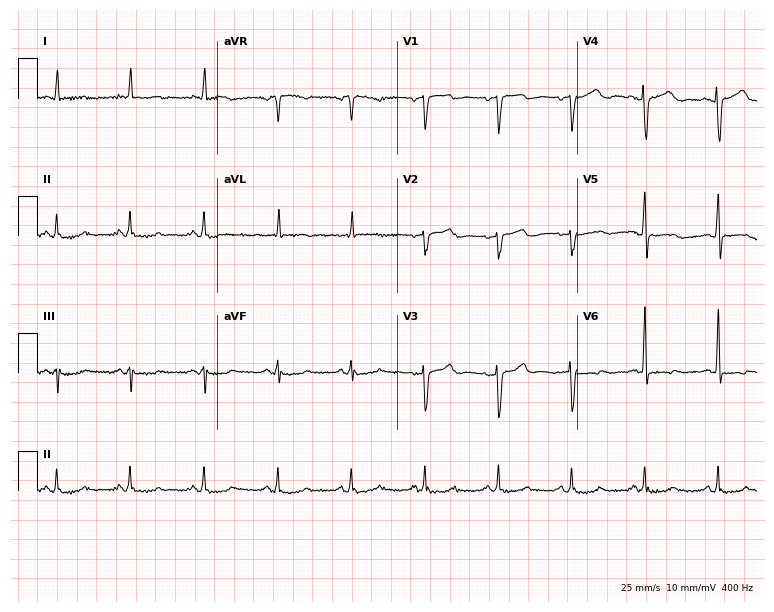
12-lead ECG from a 54-year-old female. No first-degree AV block, right bundle branch block, left bundle branch block, sinus bradycardia, atrial fibrillation or sinus tachycardia recorded for this tracing. Findings outside these six are not listed.